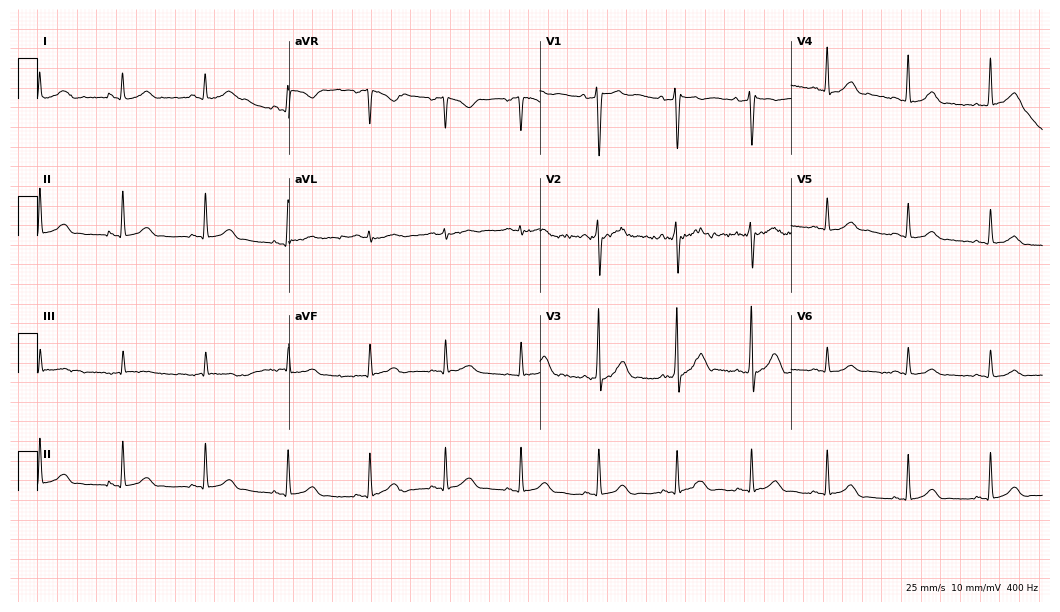
12-lead ECG from a man, 21 years old (10.2-second recording at 400 Hz). No first-degree AV block, right bundle branch block, left bundle branch block, sinus bradycardia, atrial fibrillation or sinus tachycardia recorded for this tracing. Other findings, if any, are not listed.